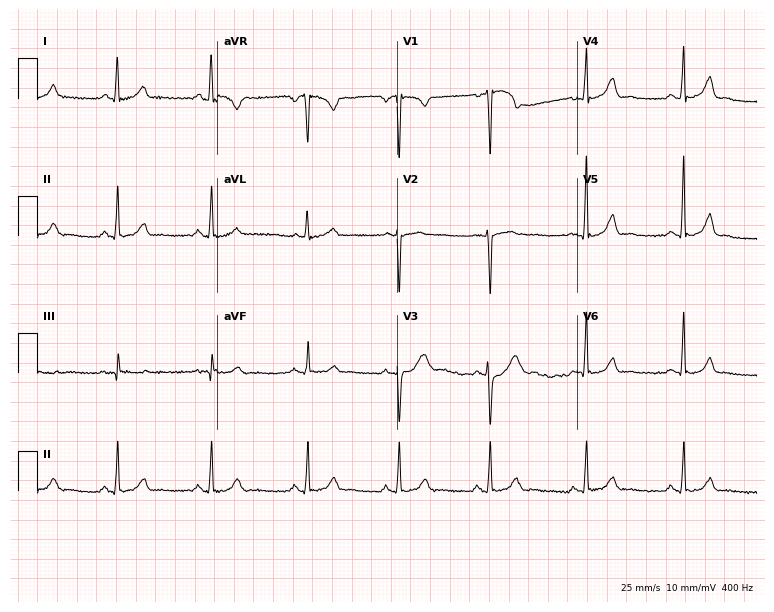
Electrocardiogram (7.3-second recording at 400 Hz), a female patient, 28 years old. Of the six screened findings (first-degree AV block, right bundle branch block, left bundle branch block, sinus bradycardia, atrial fibrillation, sinus tachycardia), none is recorded.